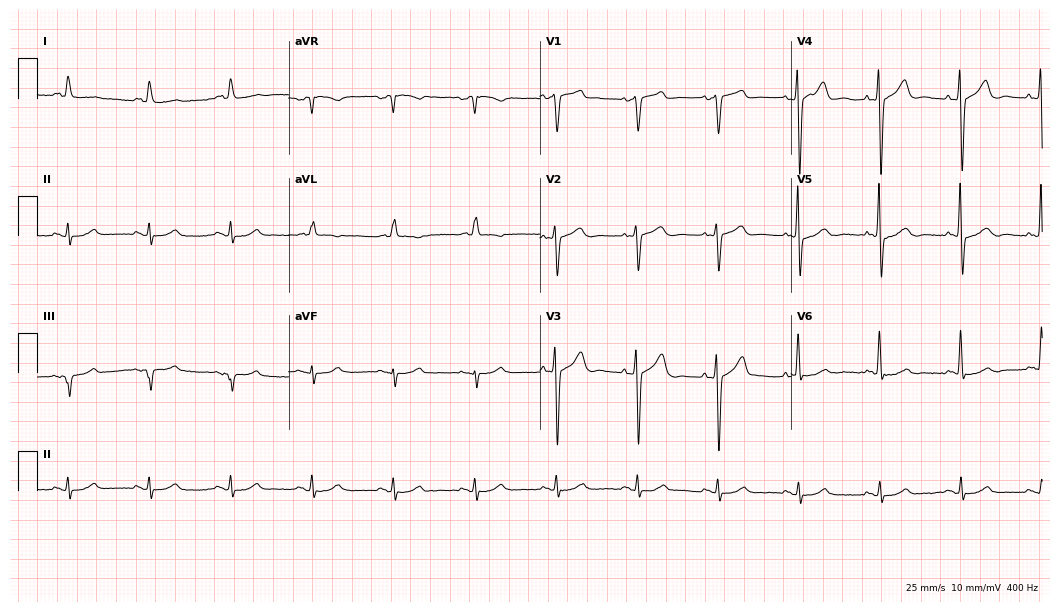
ECG — a male, 74 years old. Screened for six findings — first-degree AV block, right bundle branch block (RBBB), left bundle branch block (LBBB), sinus bradycardia, atrial fibrillation (AF), sinus tachycardia — none is recorded. Findings outside these six are not listed.